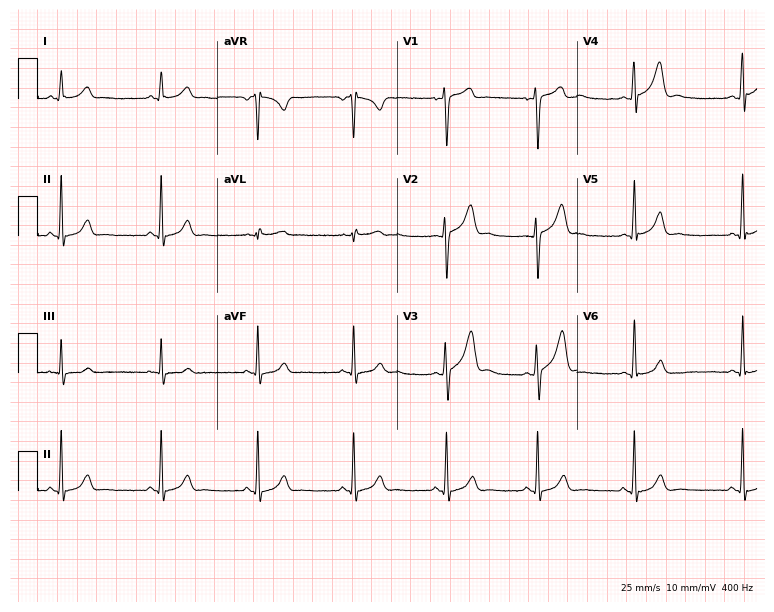
Electrocardiogram, a 27-year-old male. Overall reading on record: normal ECG.